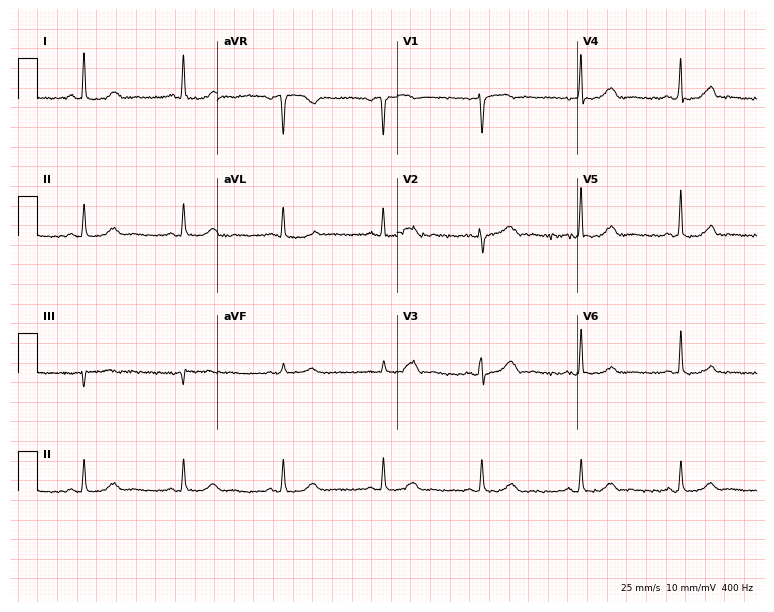
Resting 12-lead electrocardiogram (7.3-second recording at 400 Hz). Patient: a 53-year-old female. Read as a normal ECG.